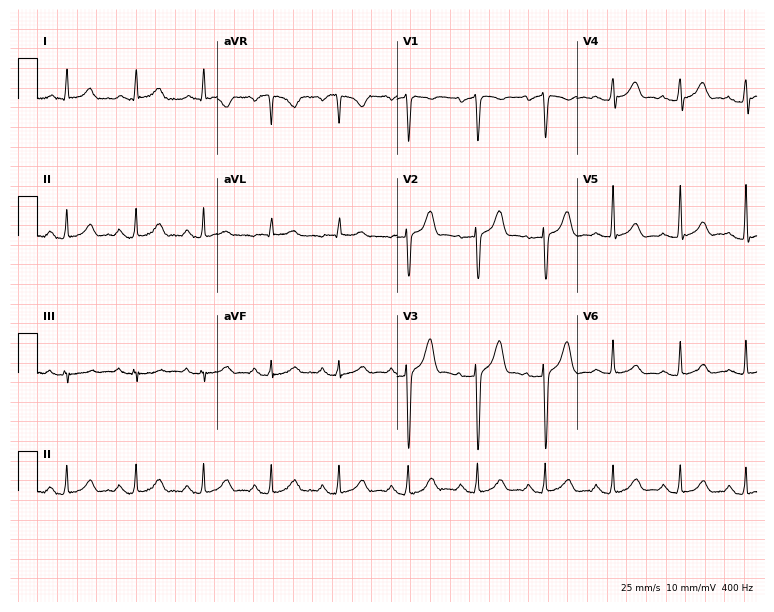
Resting 12-lead electrocardiogram. Patient: a male, 38 years old. Read as a normal ECG.